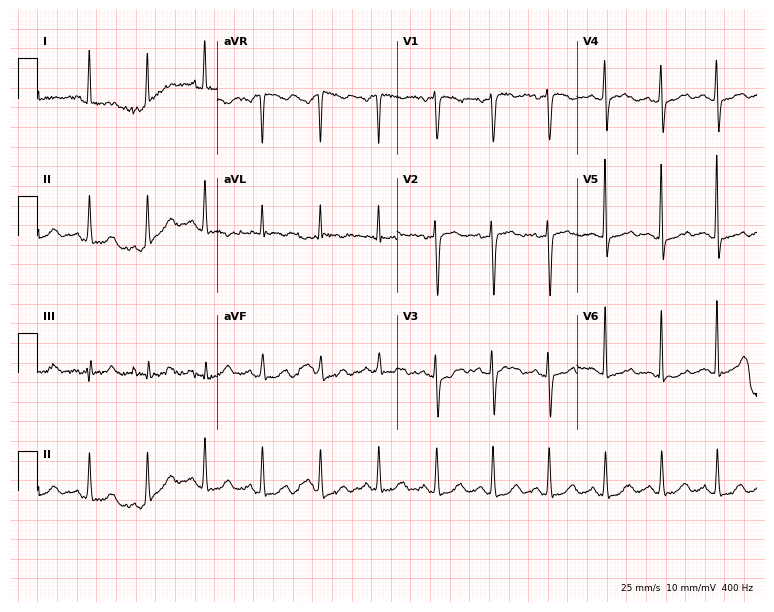
12-lead ECG from a 65-year-old female patient. Shows sinus tachycardia (a sinus rate of 100 beats per minute or more).